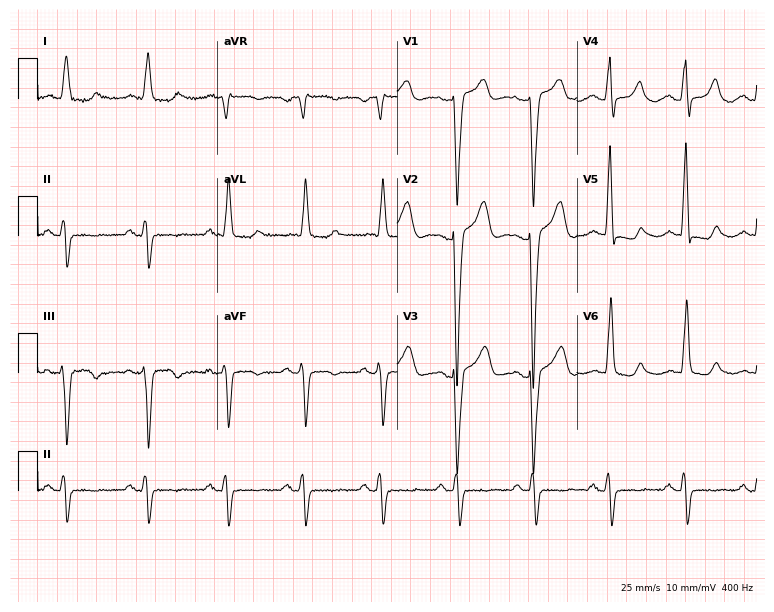
Resting 12-lead electrocardiogram. Patient: a 77-year-old woman. None of these six findings is recorded: first-degree AV block, right bundle branch block (RBBB), left bundle branch block (LBBB), sinus bradycardia, atrial fibrillation (AF), sinus tachycardia.